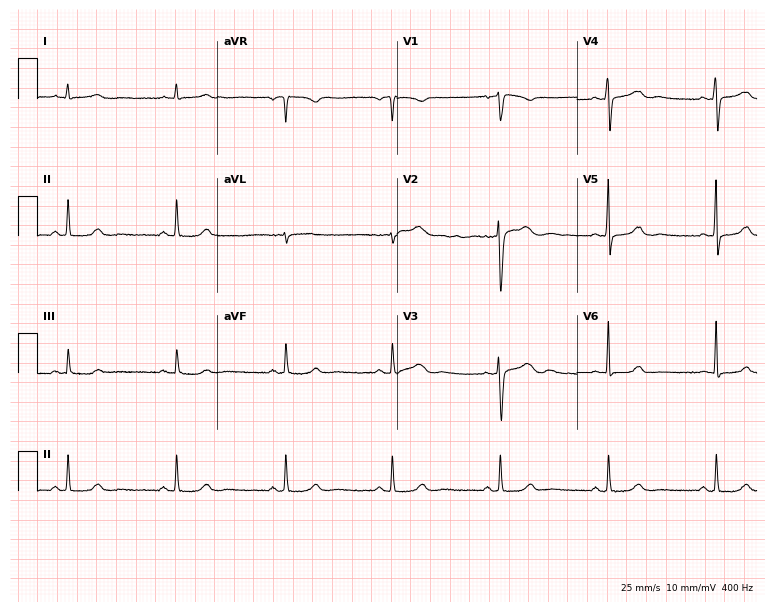
Electrocardiogram, a female patient, 43 years old. Of the six screened findings (first-degree AV block, right bundle branch block, left bundle branch block, sinus bradycardia, atrial fibrillation, sinus tachycardia), none is recorded.